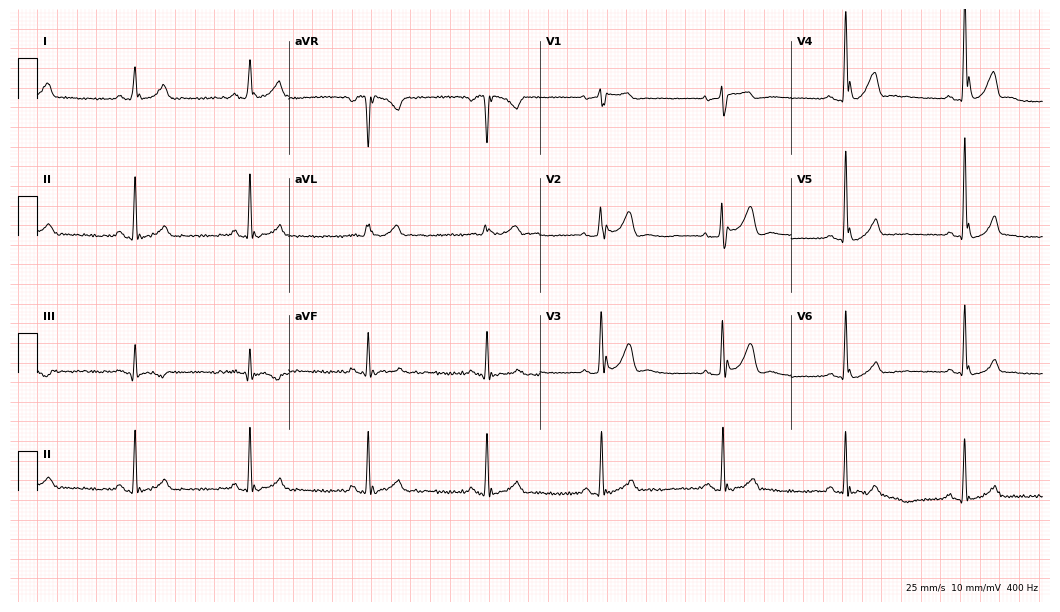
ECG — a 32-year-old man. Screened for six findings — first-degree AV block, right bundle branch block (RBBB), left bundle branch block (LBBB), sinus bradycardia, atrial fibrillation (AF), sinus tachycardia — none is recorded.